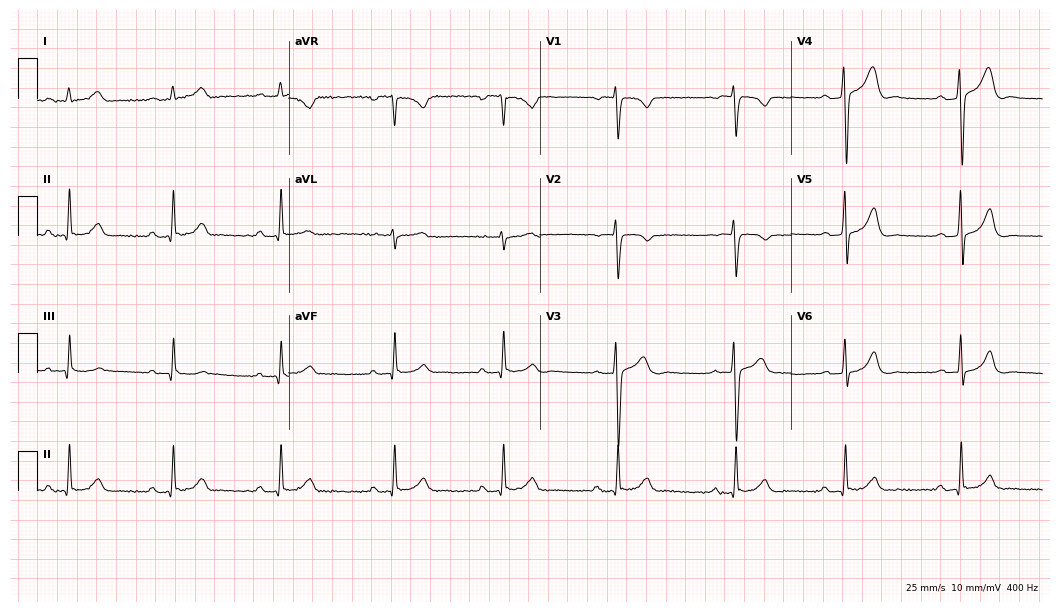
Standard 12-lead ECG recorded from a 27-year-old male patient (10.2-second recording at 400 Hz). The tracing shows first-degree AV block.